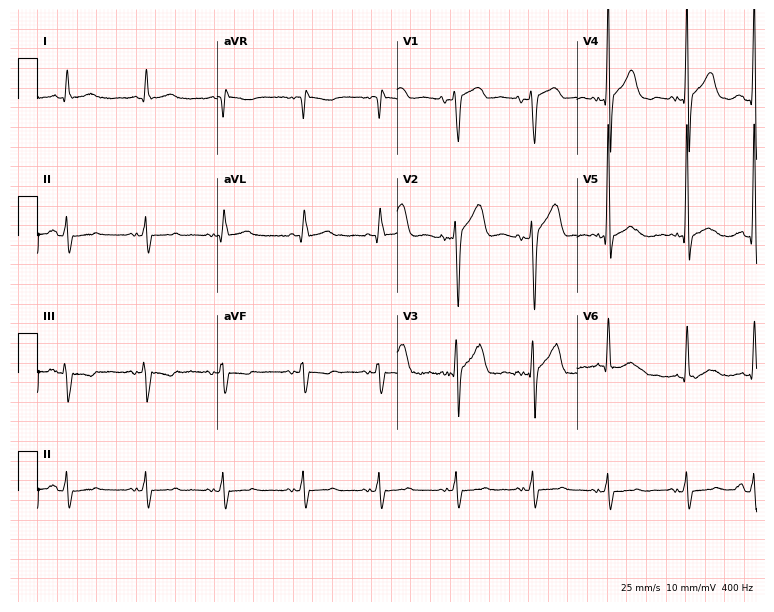
Electrocardiogram, an 82-year-old man. Of the six screened findings (first-degree AV block, right bundle branch block (RBBB), left bundle branch block (LBBB), sinus bradycardia, atrial fibrillation (AF), sinus tachycardia), none is recorded.